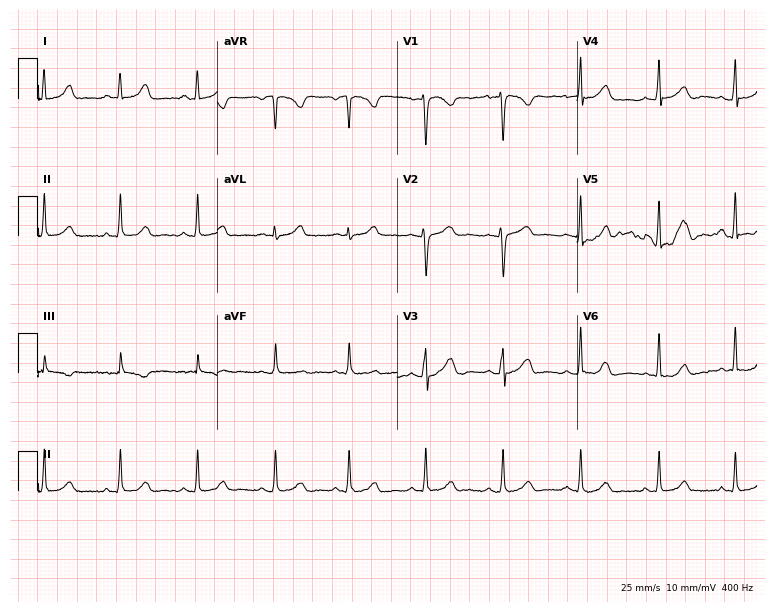
ECG (7.3-second recording at 400 Hz) — a female patient, 22 years old. Labelled as a normal ECG.